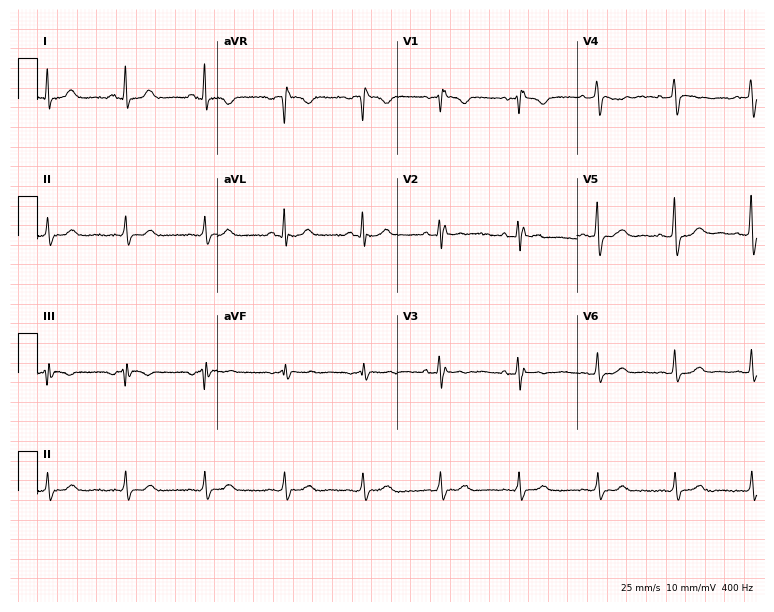
Resting 12-lead electrocardiogram. Patient: a 58-year-old female. None of these six findings is recorded: first-degree AV block, right bundle branch block, left bundle branch block, sinus bradycardia, atrial fibrillation, sinus tachycardia.